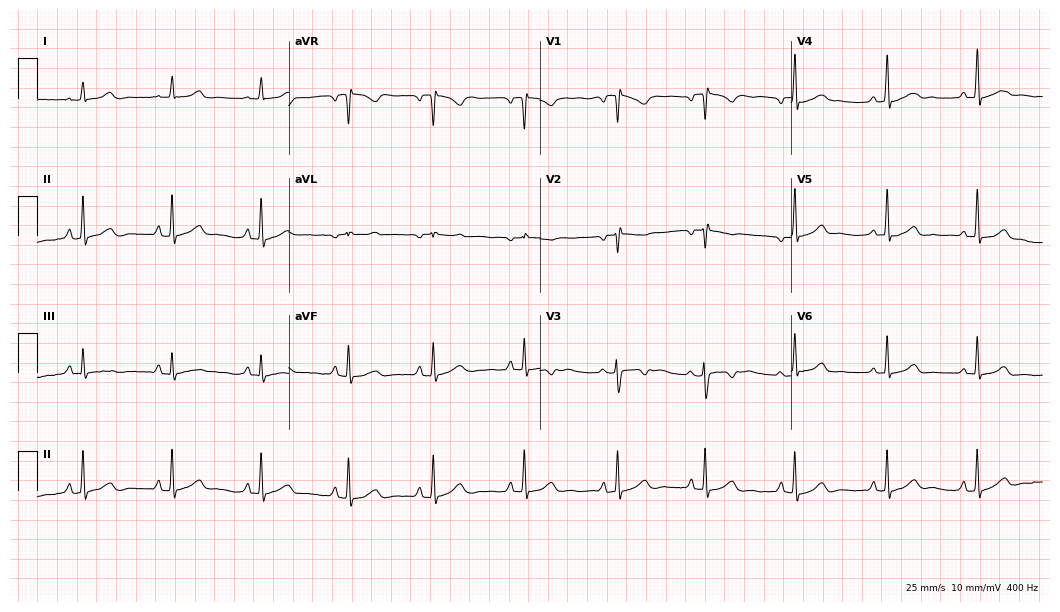
ECG (10.2-second recording at 400 Hz) — a woman, 22 years old. Labelled as a normal ECG.